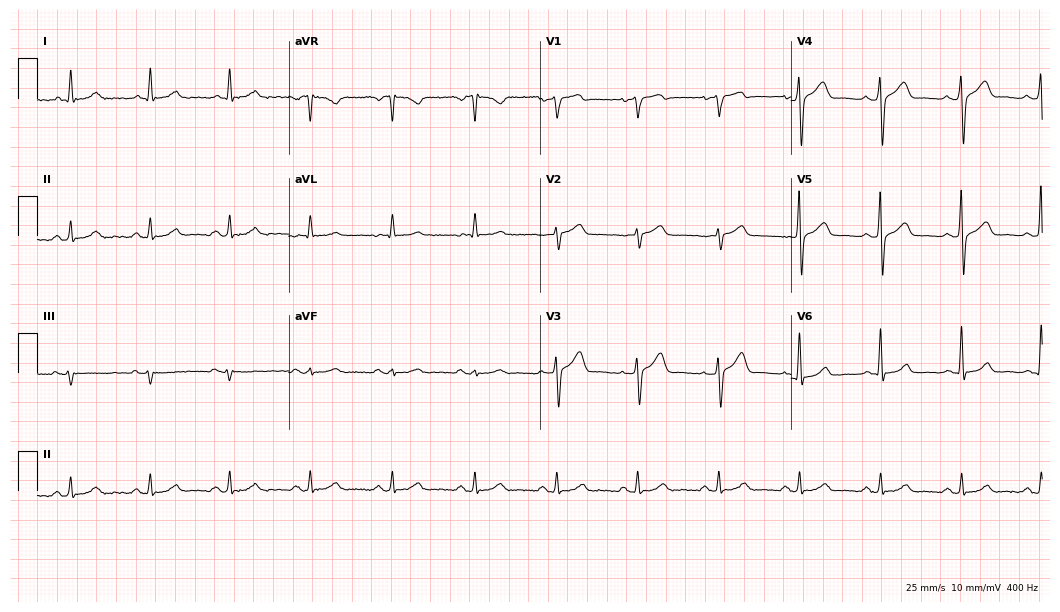
Standard 12-lead ECG recorded from a male, 61 years old. Read as a normal ECG.